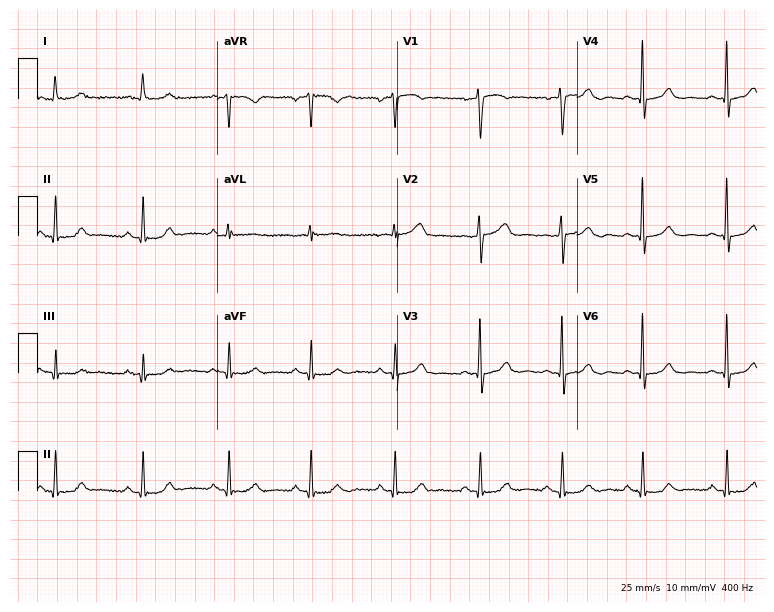
ECG — a 59-year-old female. Screened for six findings — first-degree AV block, right bundle branch block, left bundle branch block, sinus bradycardia, atrial fibrillation, sinus tachycardia — none is recorded. Findings outside these six are not listed.